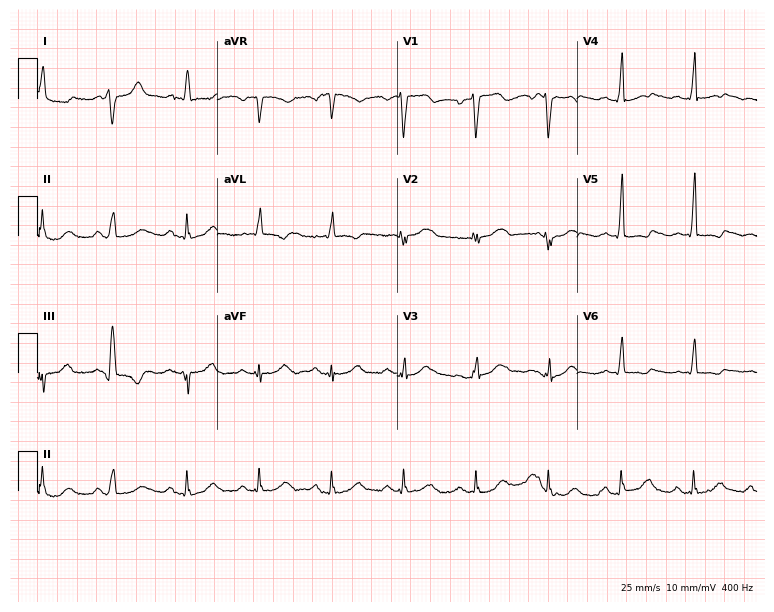
12-lead ECG from a male patient, 76 years old (7.3-second recording at 400 Hz). No first-degree AV block, right bundle branch block (RBBB), left bundle branch block (LBBB), sinus bradycardia, atrial fibrillation (AF) or sinus tachycardia recorded for this tracing.